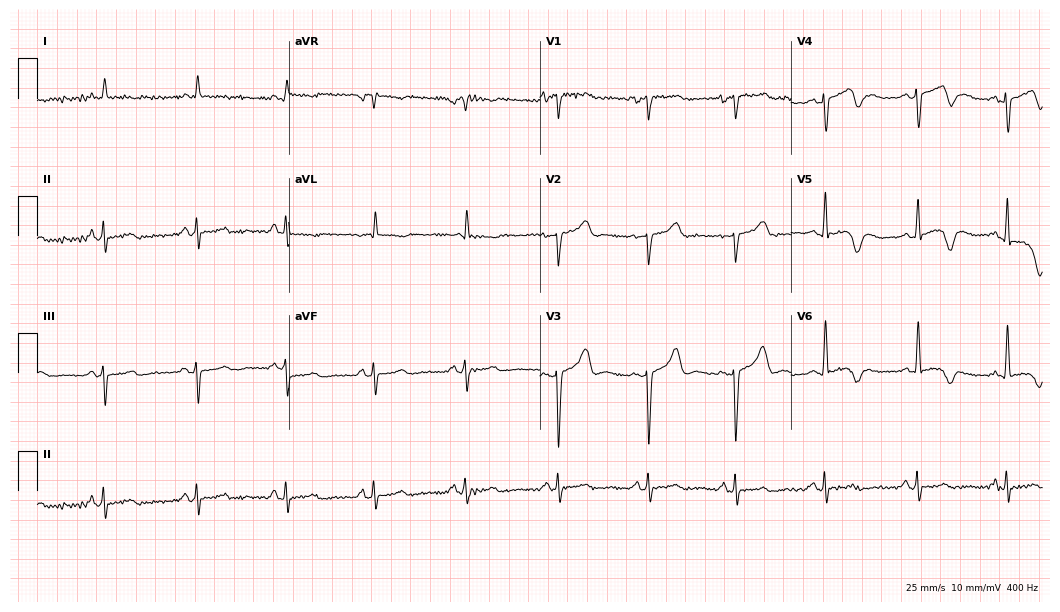
12-lead ECG (10.2-second recording at 400 Hz) from a female, 71 years old. Screened for six findings — first-degree AV block, right bundle branch block, left bundle branch block, sinus bradycardia, atrial fibrillation, sinus tachycardia — none is recorded.